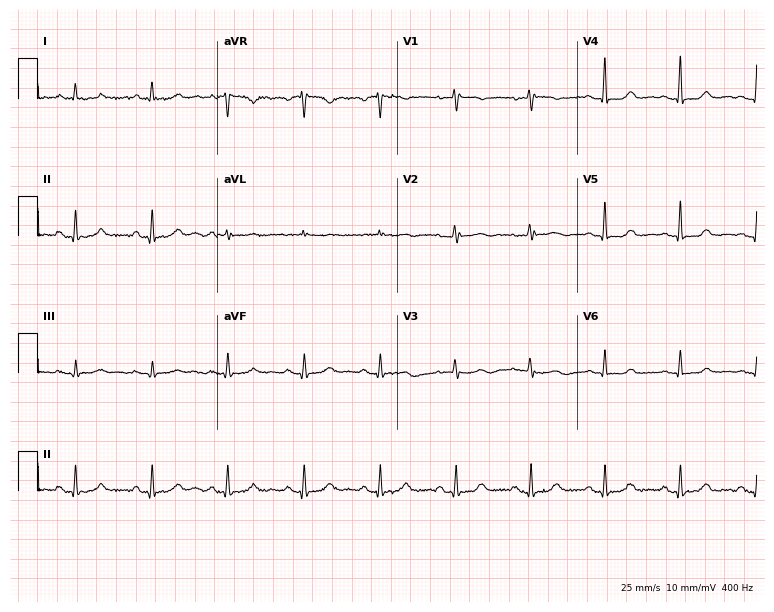
Electrocardiogram, a 69-year-old female patient. Of the six screened findings (first-degree AV block, right bundle branch block (RBBB), left bundle branch block (LBBB), sinus bradycardia, atrial fibrillation (AF), sinus tachycardia), none is recorded.